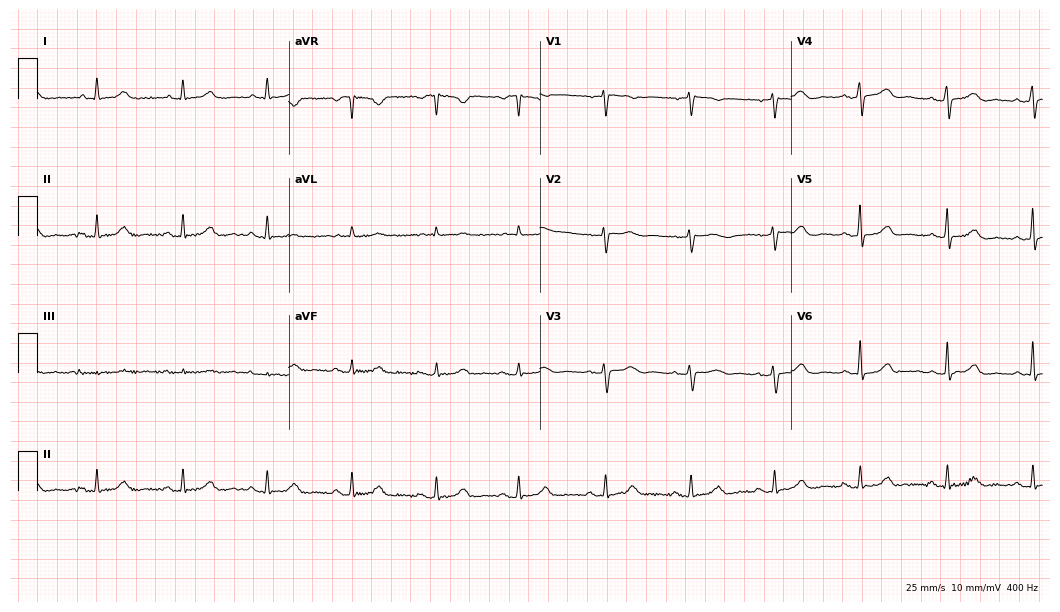
Standard 12-lead ECG recorded from a female, 62 years old. None of these six findings is recorded: first-degree AV block, right bundle branch block, left bundle branch block, sinus bradycardia, atrial fibrillation, sinus tachycardia.